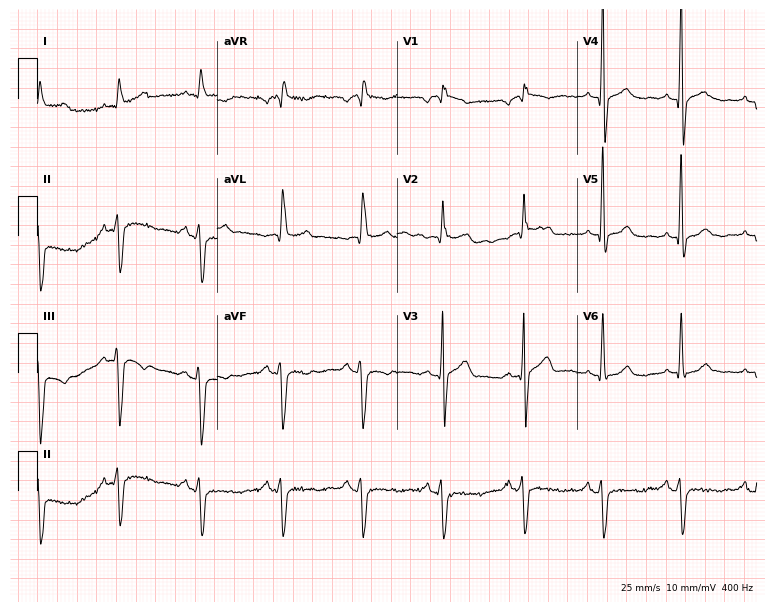
12-lead ECG (7.3-second recording at 400 Hz) from a 66-year-old man. Findings include right bundle branch block.